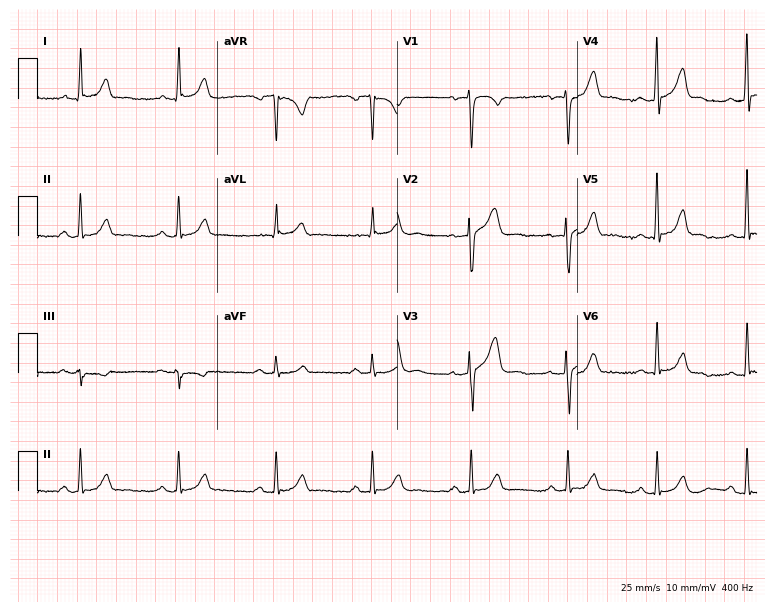
Standard 12-lead ECG recorded from a 42-year-old female patient. Read as a normal ECG.